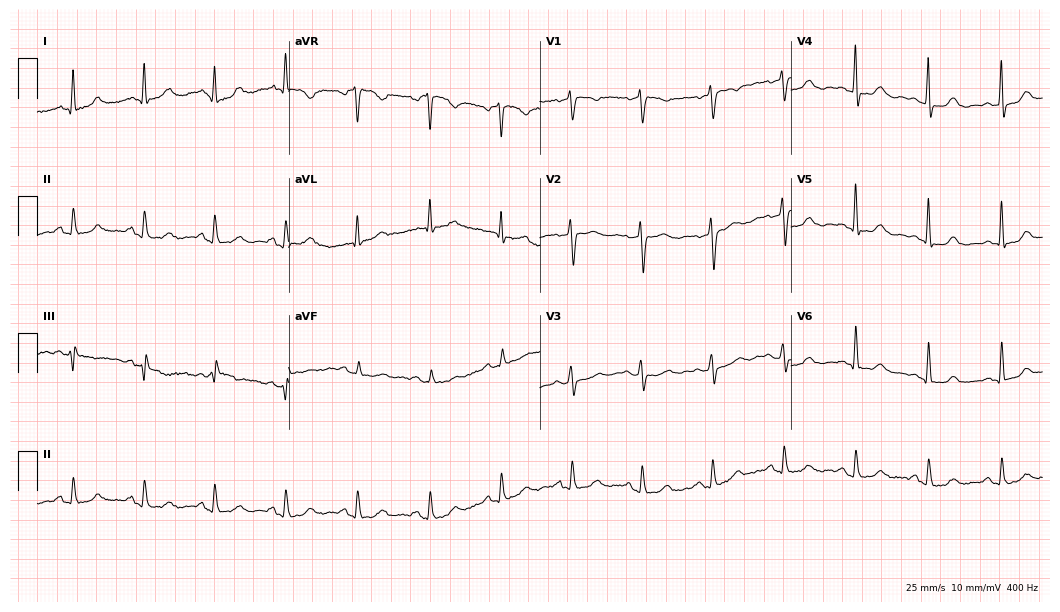
12-lead ECG (10.2-second recording at 400 Hz) from a 65-year-old female. Labelled as a normal ECG.